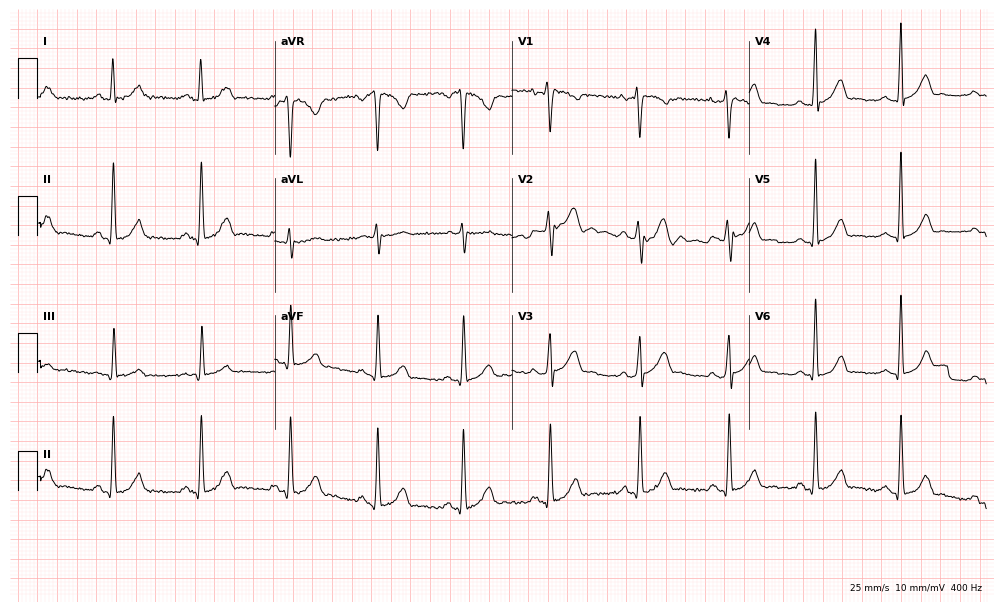
Resting 12-lead electrocardiogram. Patient: a 41-year-old man. Read as a normal ECG.